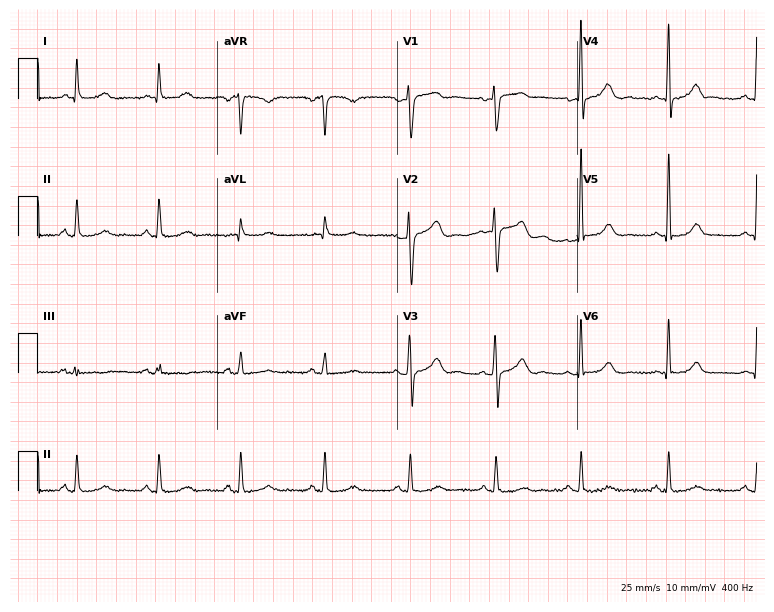
Standard 12-lead ECG recorded from a 61-year-old woman (7.3-second recording at 400 Hz). None of these six findings is recorded: first-degree AV block, right bundle branch block, left bundle branch block, sinus bradycardia, atrial fibrillation, sinus tachycardia. Findings outside these six are not listed.